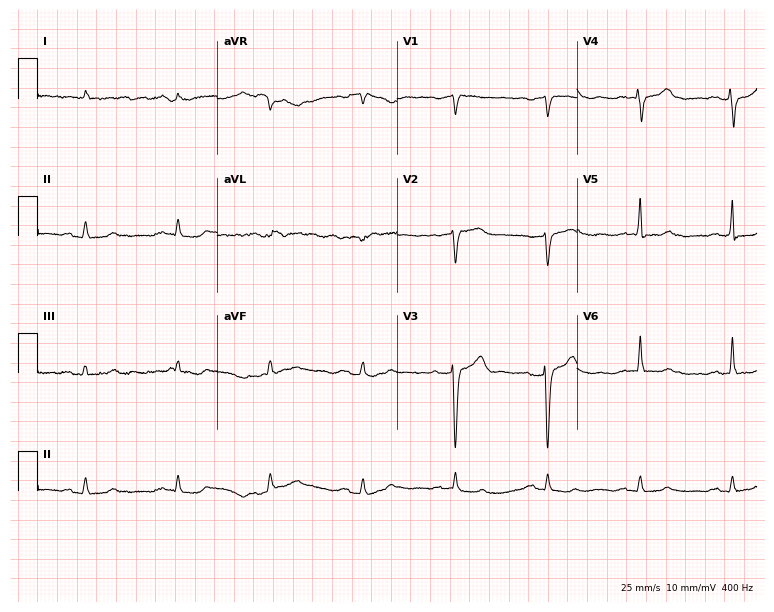
Resting 12-lead electrocardiogram (7.3-second recording at 400 Hz). Patient: a man, 71 years old. None of these six findings is recorded: first-degree AV block, right bundle branch block (RBBB), left bundle branch block (LBBB), sinus bradycardia, atrial fibrillation (AF), sinus tachycardia. Other findings, if any, are not listed.